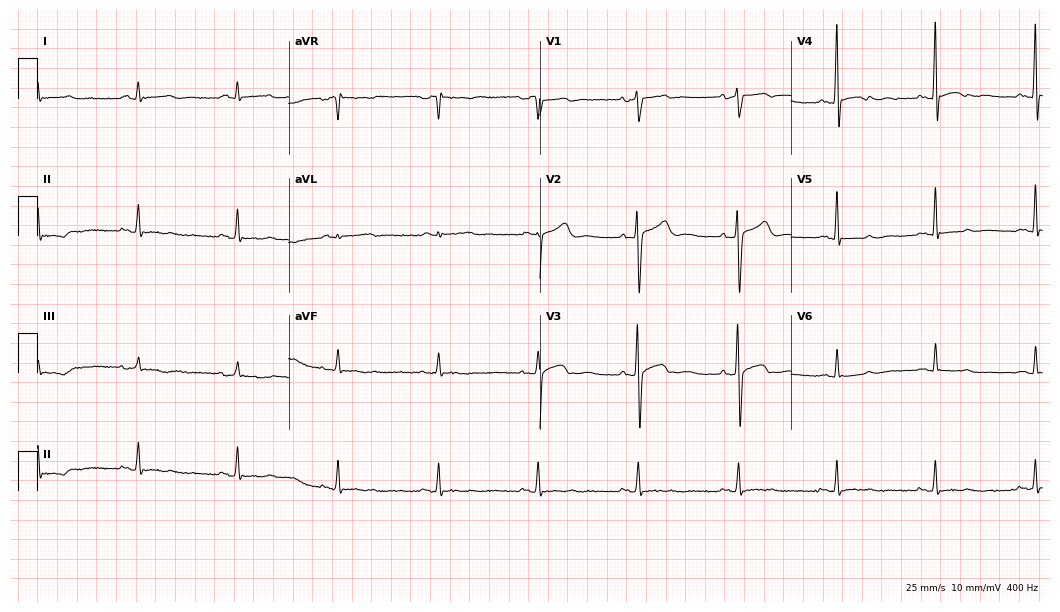
Standard 12-lead ECG recorded from a 56-year-old man (10.2-second recording at 400 Hz). None of these six findings is recorded: first-degree AV block, right bundle branch block (RBBB), left bundle branch block (LBBB), sinus bradycardia, atrial fibrillation (AF), sinus tachycardia. Findings outside these six are not listed.